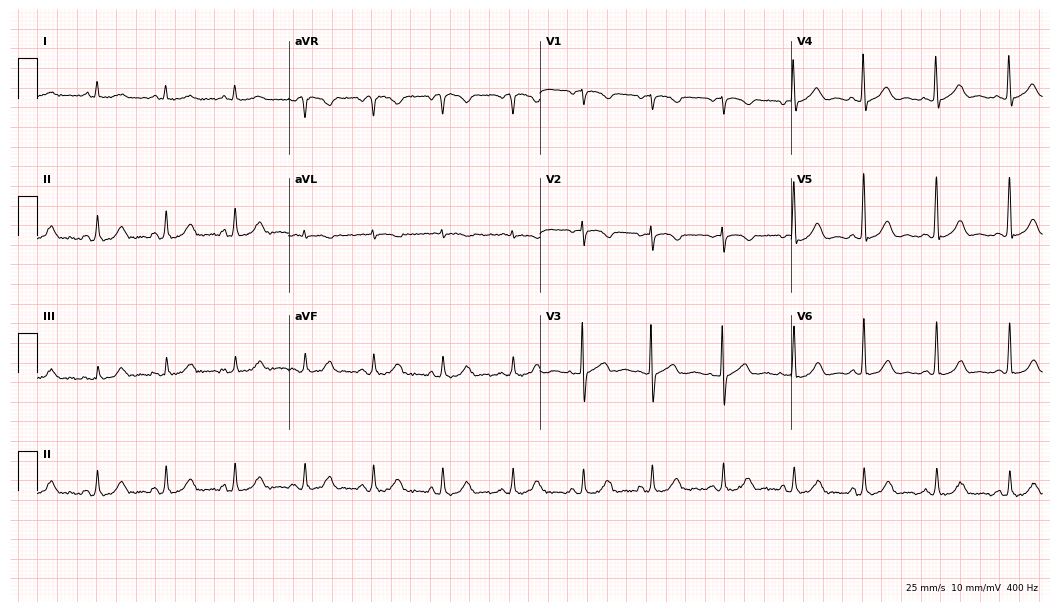
12-lead ECG from a female patient, 72 years old. Labelled as a normal ECG.